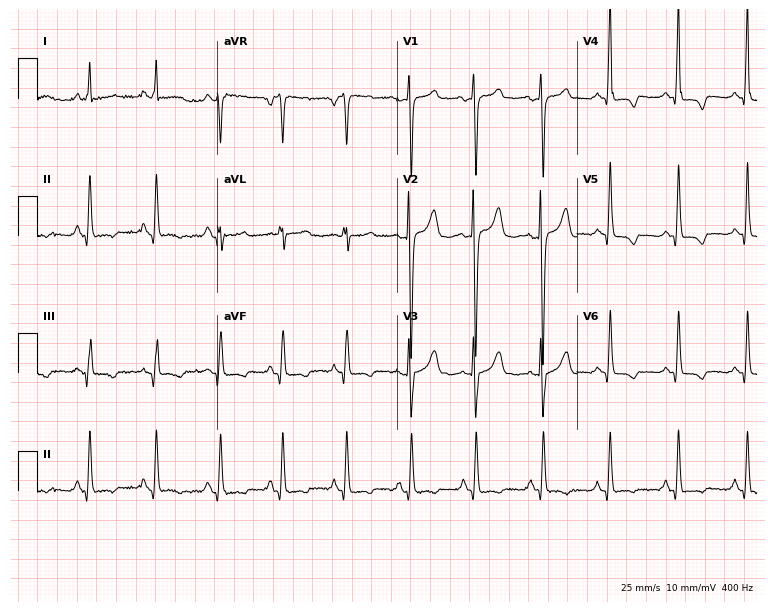
Resting 12-lead electrocardiogram. Patient: a female, 49 years old. Read as a normal ECG.